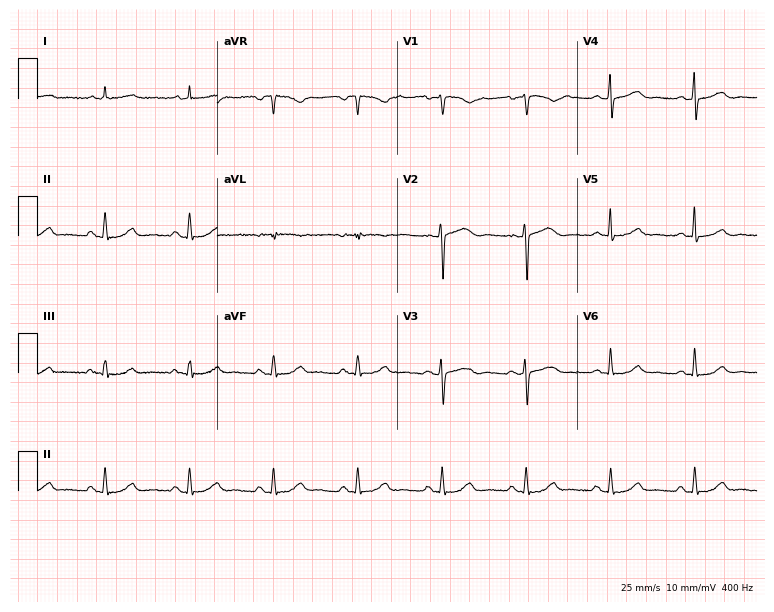
12-lead ECG from a 57-year-old female. Labelled as a normal ECG.